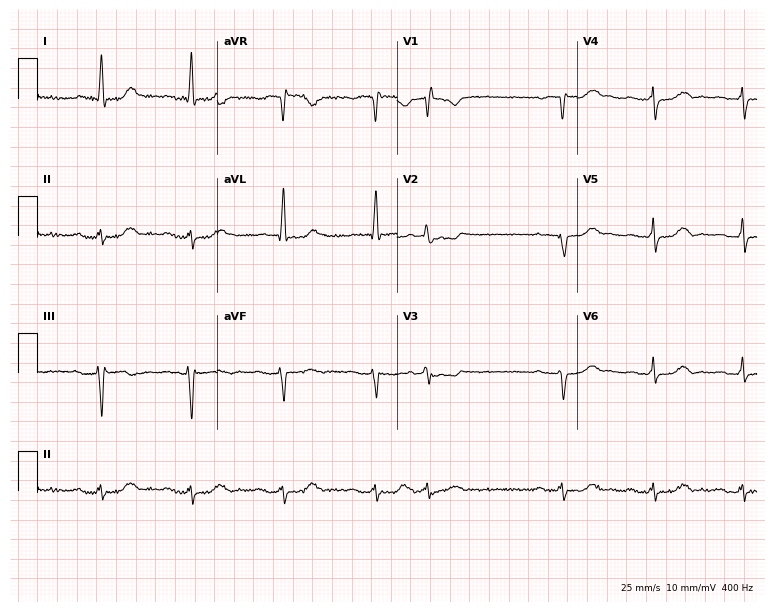
12-lead ECG from a female, 79 years old. No first-degree AV block, right bundle branch block, left bundle branch block, sinus bradycardia, atrial fibrillation or sinus tachycardia recorded for this tracing.